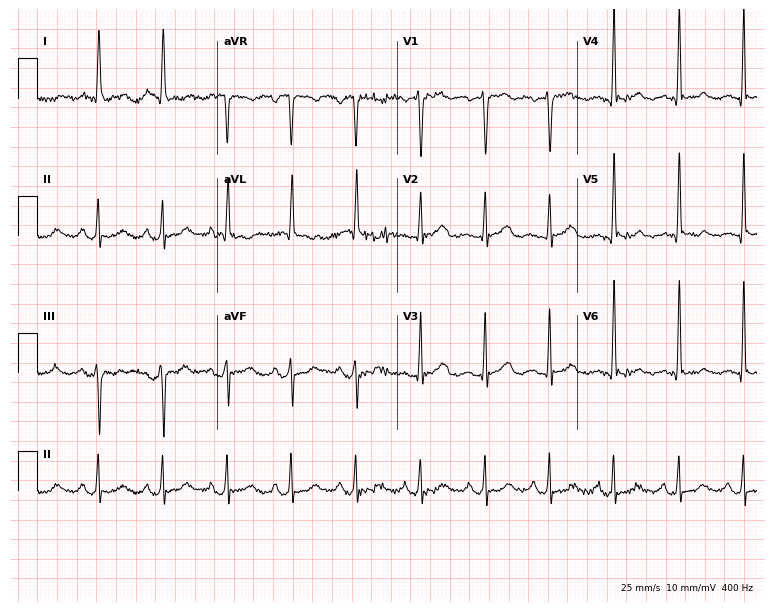
ECG (7.3-second recording at 400 Hz) — a female patient, 78 years old. Screened for six findings — first-degree AV block, right bundle branch block, left bundle branch block, sinus bradycardia, atrial fibrillation, sinus tachycardia — none is recorded.